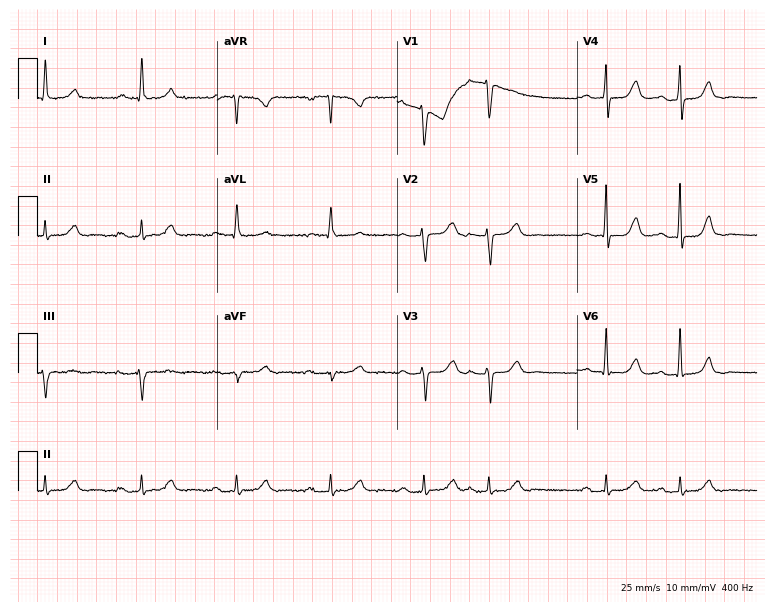
Electrocardiogram (7.3-second recording at 400 Hz), an 80-year-old female patient. Of the six screened findings (first-degree AV block, right bundle branch block (RBBB), left bundle branch block (LBBB), sinus bradycardia, atrial fibrillation (AF), sinus tachycardia), none is recorded. Only these six findings were labelled.